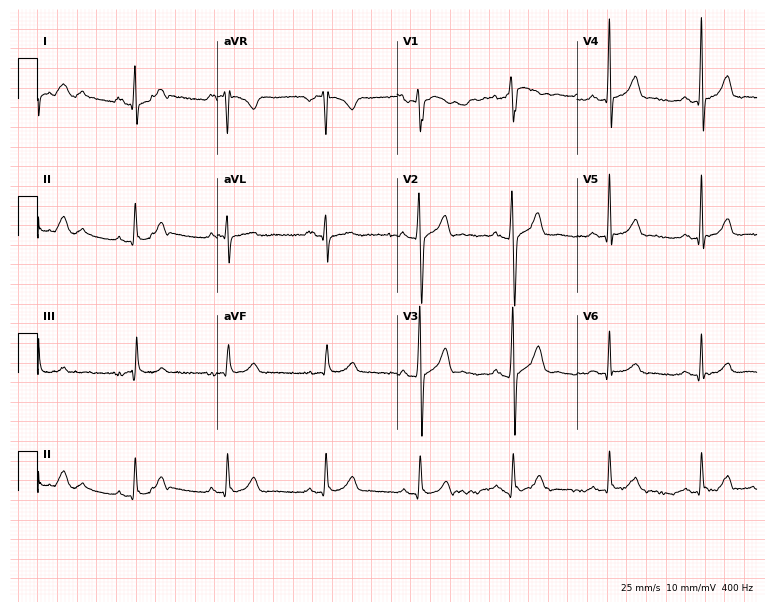
12-lead ECG from a 29-year-old man (7.3-second recording at 400 Hz). No first-degree AV block, right bundle branch block, left bundle branch block, sinus bradycardia, atrial fibrillation or sinus tachycardia recorded for this tracing.